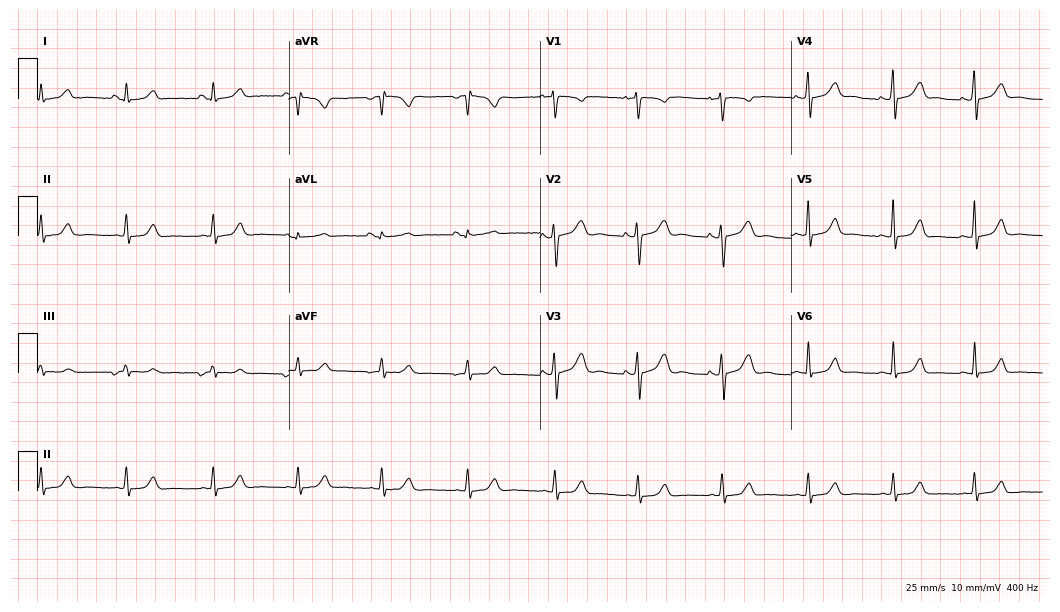
12-lead ECG from a female, 28 years old. Recorded interpretation: within normal limits.